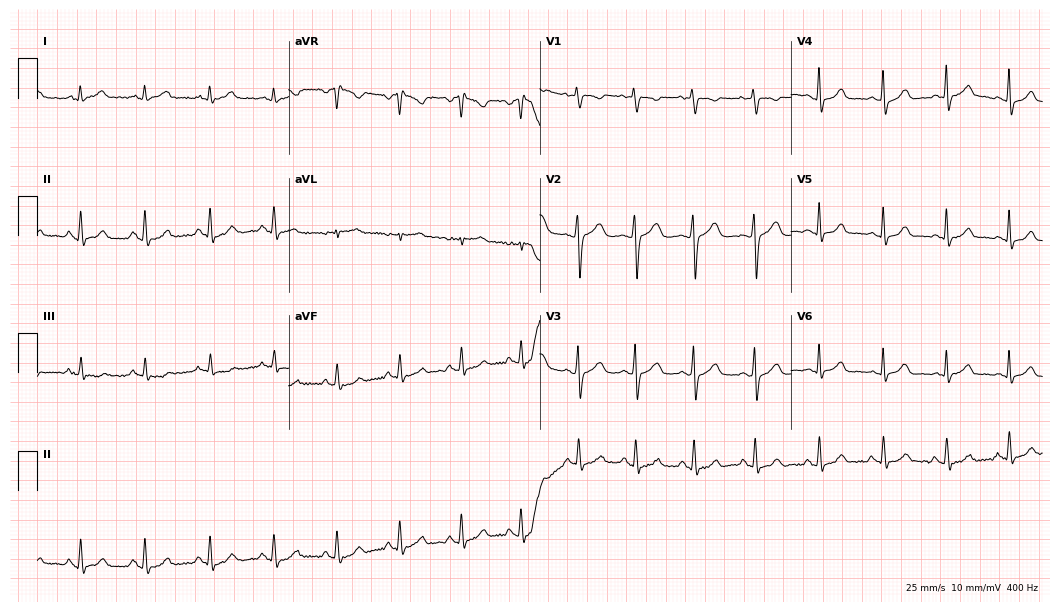
ECG (10.2-second recording at 400 Hz) — a 32-year-old female patient. Labelled as a normal ECG.